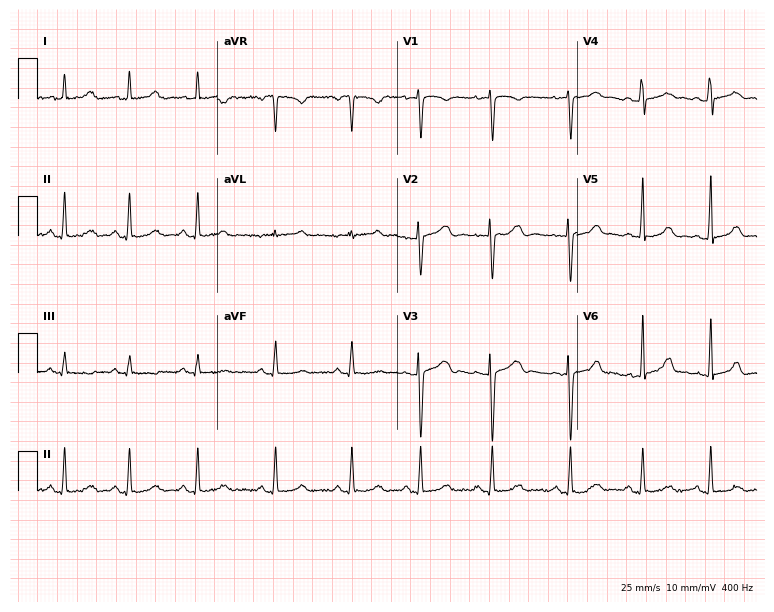
ECG (7.3-second recording at 400 Hz) — a 20-year-old woman. Labelled as a normal ECG.